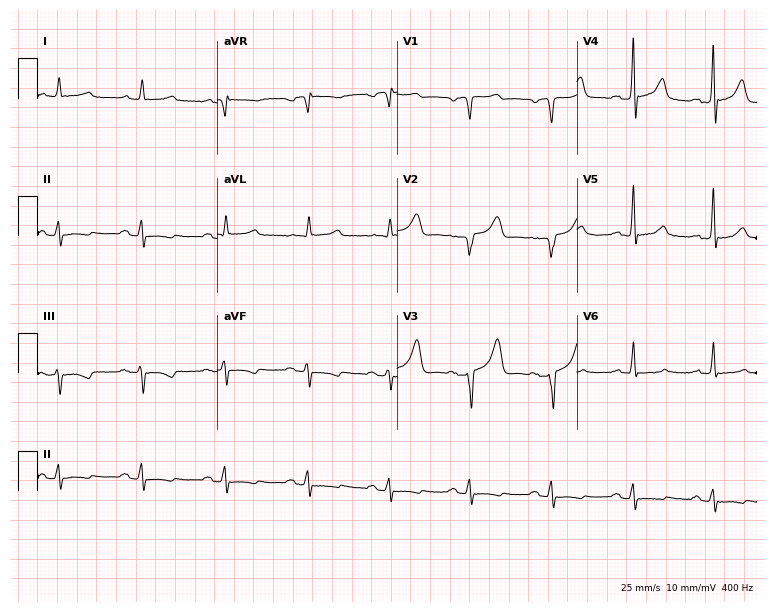
12-lead ECG from a 76-year-old male. Screened for six findings — first-degree AV block, right bundle branch block (RBBB), left bundle branch block (LBBB), sinus bradycardia, atrial fibrillation (AF), sinus tachycardia — none is recorded. Findings outside these six are not listed.